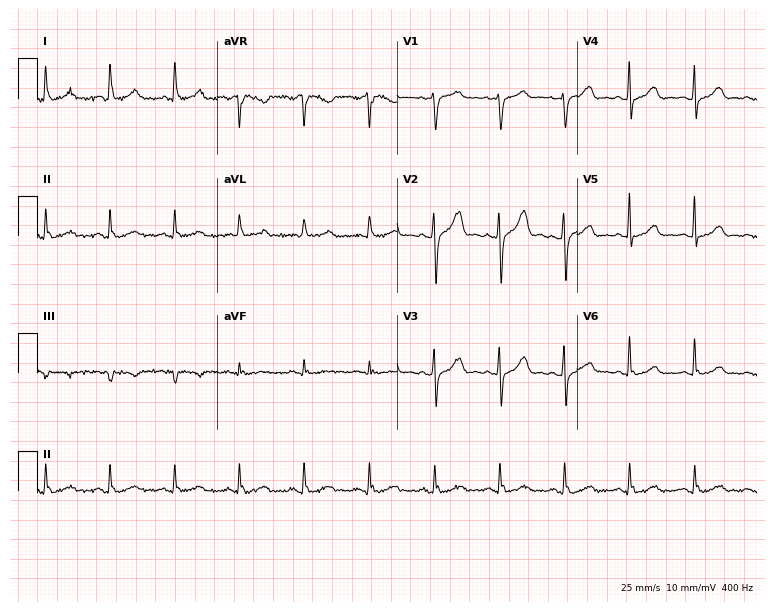
12-lead ECG (7.3-second recording at 400 Hz) from a 46-year-old female patient. Labelled as a normal ECG.